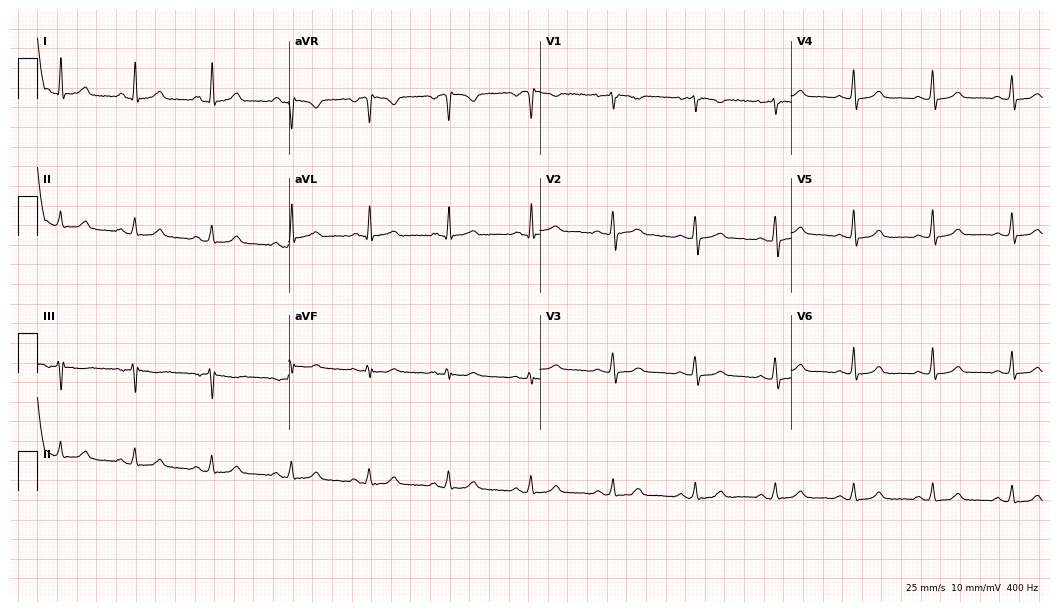
12-lead ECG (10.2-second recording at 400 Hz) from a woman, 37 years old. Labelled as a normal ECG.